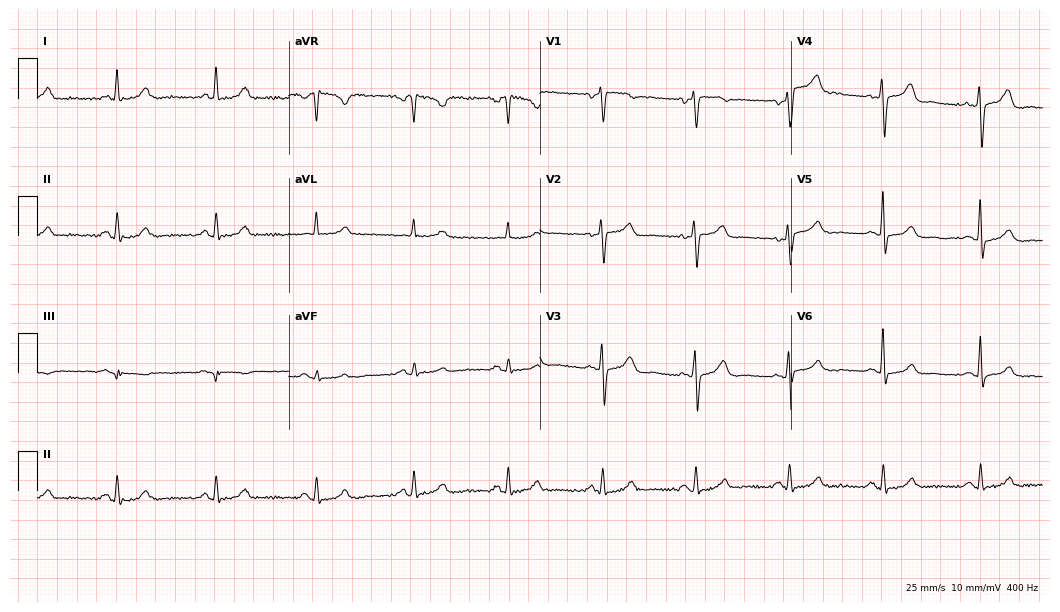
ECG — a 61-year-old male. Screened for six findings — first-degree AV block, right bundle branch block (RBBB), left bundle branch block (LBBB), sinus bradycardia, atrial fibrillation (AF), sinus tachycardia — none is recorded.